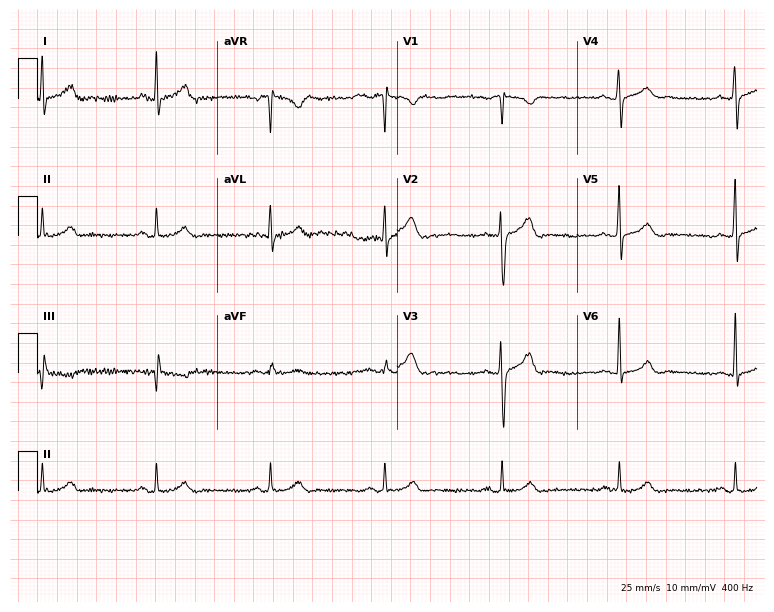
Standard 12-lead ECG recorded from a 39-year-old man. None of these six findings is recorded: first-degree AV block, right bundle branch block (RBBB), left bundle branch block (LBBB), sinus bradycardia, atrial fibrillation (AF), sinus tachycardia. Findings outside these six are not listed.